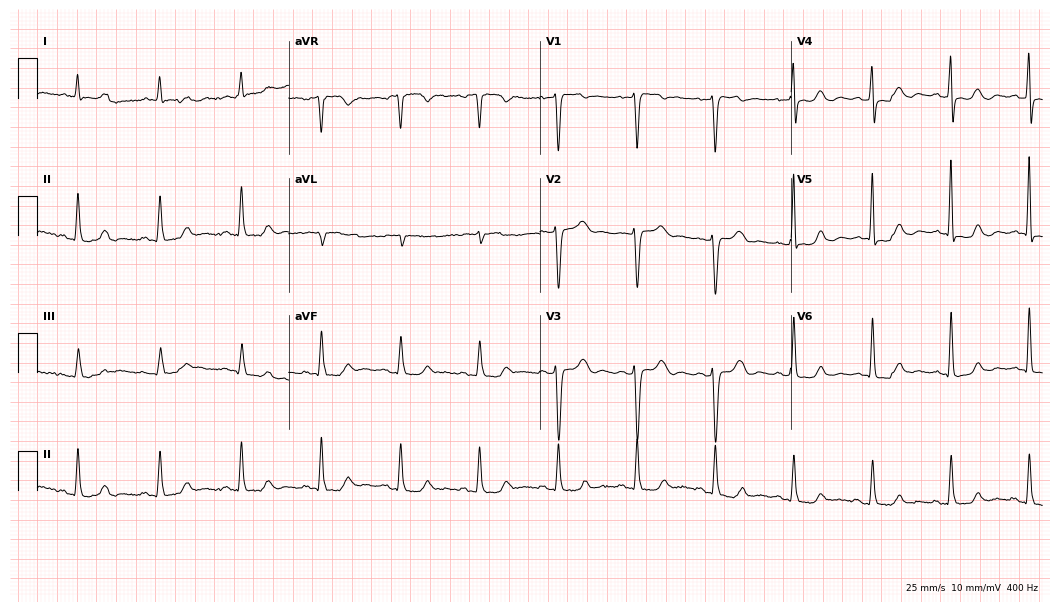
12-lead ECG (10.2-second recording at 400 Hz) from a 70-year-old woman. Screened for six findings — first-degree AV block, right bundle branch block, left bundle branch block, sinus bradycardia, atrial fibrillation, sinus tachycardia — none is recorded. Other findings, if any, are not listed.